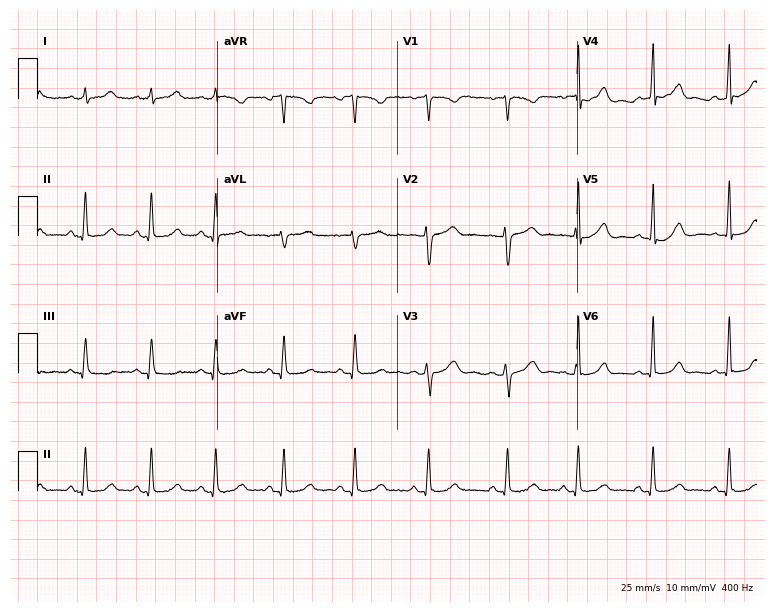
12-lead ECG from a woman, 29 years old. No first-degree AV block, right bundle branch block (RBBB), left bundle branch block (LBBB), sinus bradycardia, atrial fibrillation (AF) or sinus tachycardia recorded for this tracing.